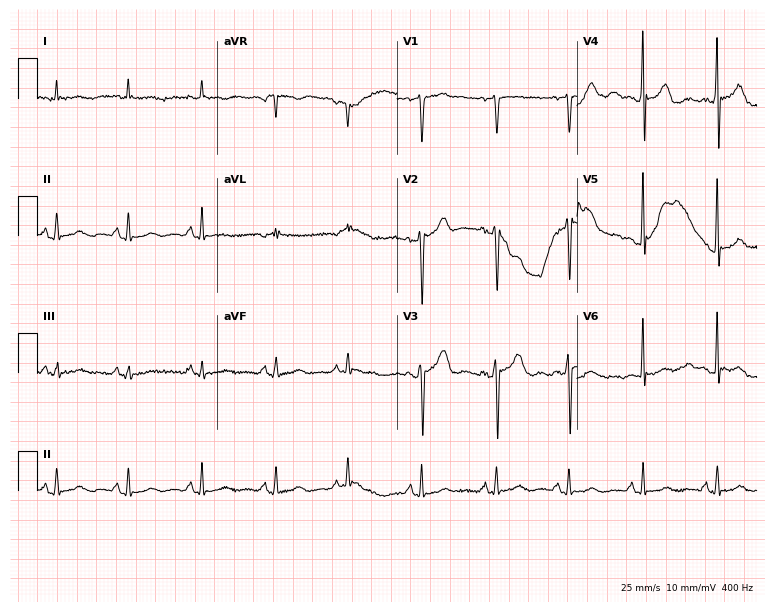
Standard 12-lead ECG recorded from a 79-year-old male (7.3-second recording at 400 Hz). None of these six findings is recorded: first-degree AV block, right bundle branch block (RBBB), left bundle branch block (LBBB), sinus bradycardia, atrial fibrillation (AF), sinus tachycardia. Findings outside these six are not listed.